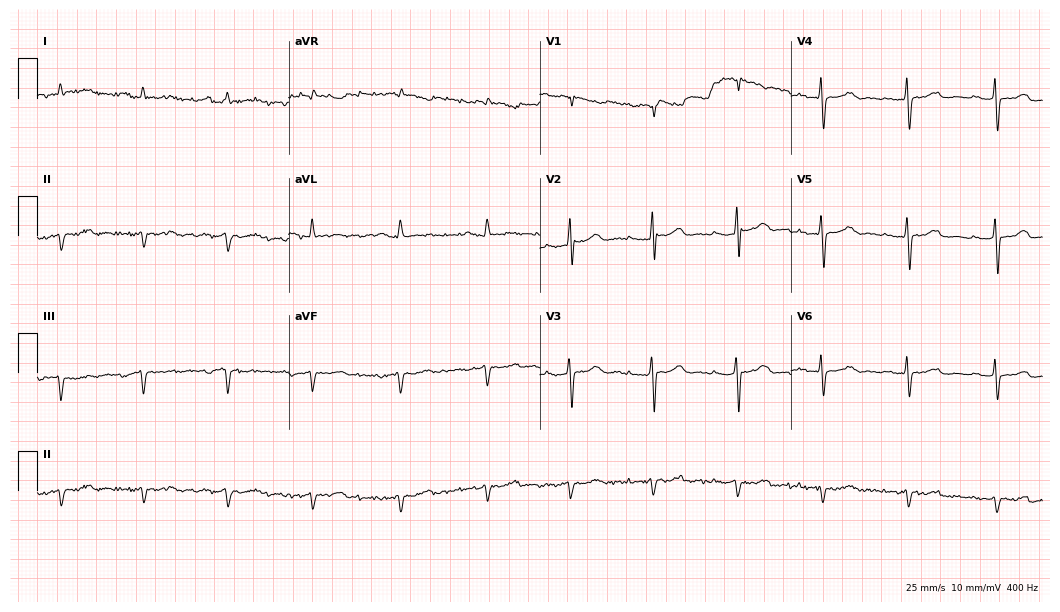
Resting 12-lead electrocardiogram (10.2-second recording at 400 Hz). Patient: a 76-year-old male. None of these six findings is recorded: first-degree AV block, right bundle branch block (RBBB), left bundle branch block (LBBB), sinus bradycardia, atrial fibrillation (AF), sinus tachycardia. Other findings, if any, are not listed.